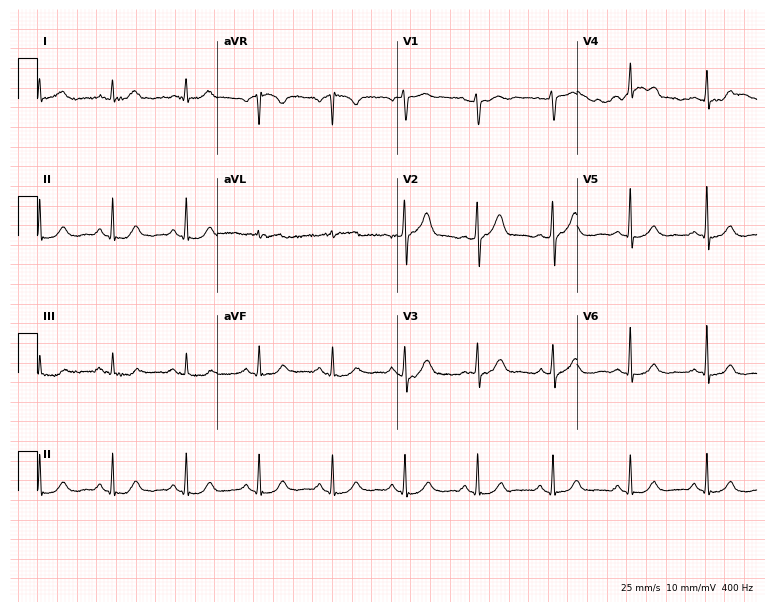
Standard 12-lead ECG recorded from a male patient, 66 years old (7.3-second recording at 400 Hz). Read as a normal ECG.